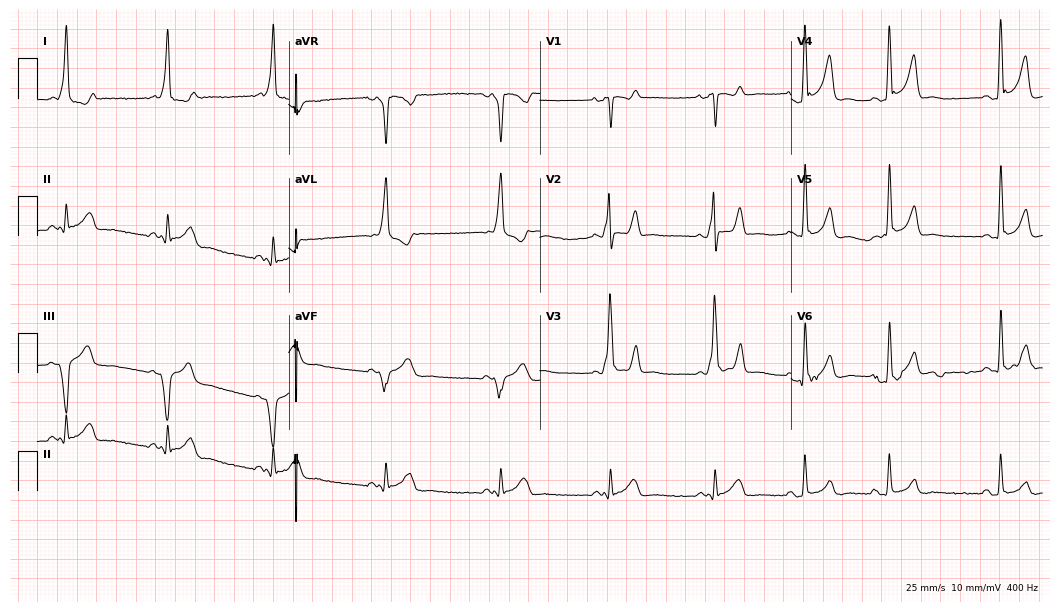
12-lead ECG from a male, 28 years old. Findings include left bundle branch block.